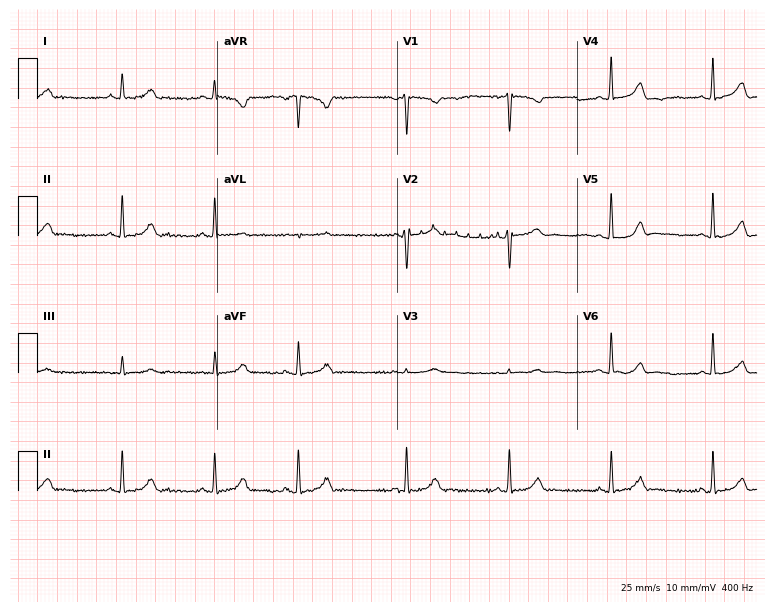
ECG (7.3-second recording at 400 Hz) — a 17-year-old woman. Screened for six findings — first-degree AV block, right bundle branch block (RBBB), left bundle branch block (LBBB), sinus bradycardia, atrial fibrillation (AF), sinus tachycardia — none is recorded. Only these six findings were labelled.